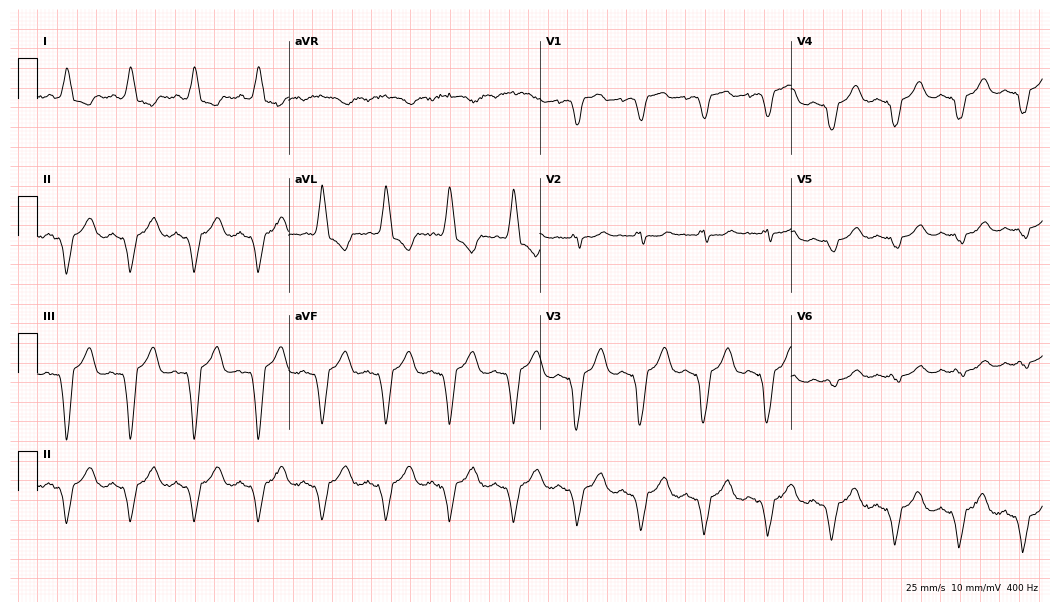
12-lead ECG from a female patient, 50 years old (10.2-second recording at 400 Hz). Shows left bundle branch block.